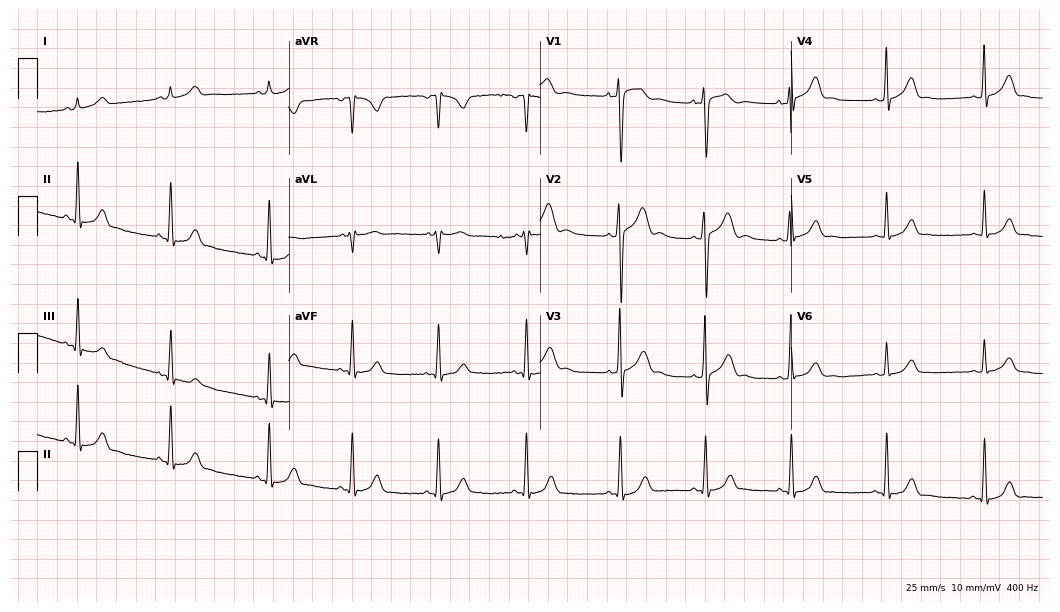
Resting 12-lead electrocardiogram (10.2-second recording at 400 Hz). Patient: a male, 18 years old. Read as a normal ECG.